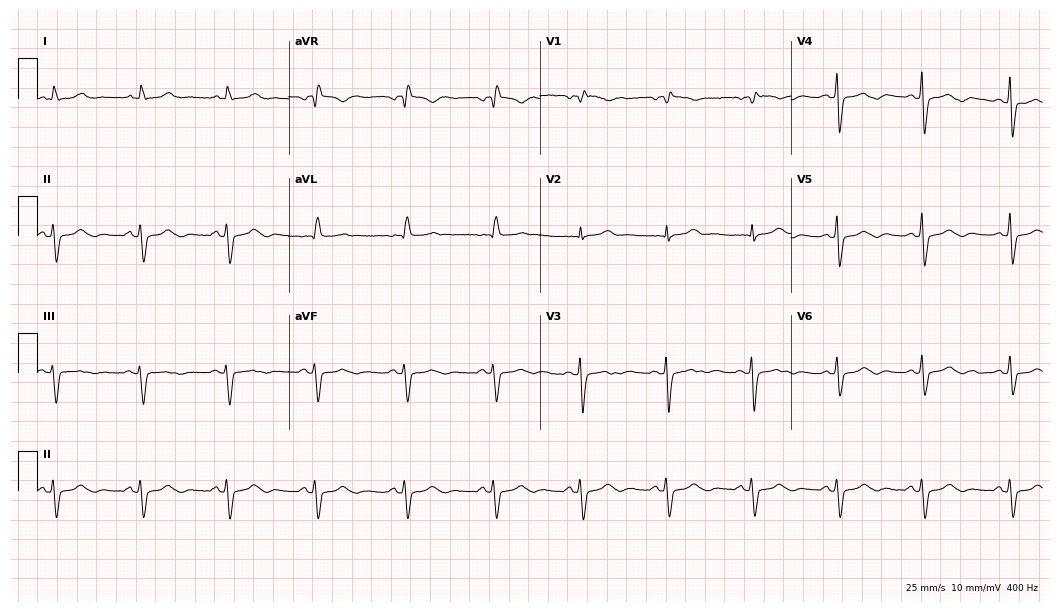
ECG (10.2-second recording at 400 Hz) — a 65-year-old female patient. Screened for six findings — first-degree AV block, right bundle branch block (RBBB), left bundle branch block (LBBB), sinus bradycardia, atrial fibrillation (AF), sinus tachycardia — none is recorded.